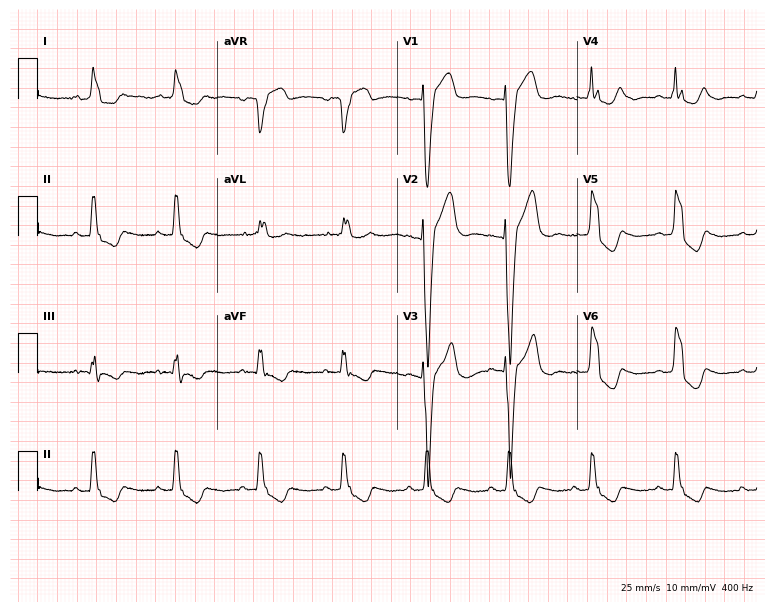
Standard 12-lead ECG recorded from a woman, 85 years old (7.3-second recording at 400 Hz). The tracing shows left bundle branch block (LBBB).